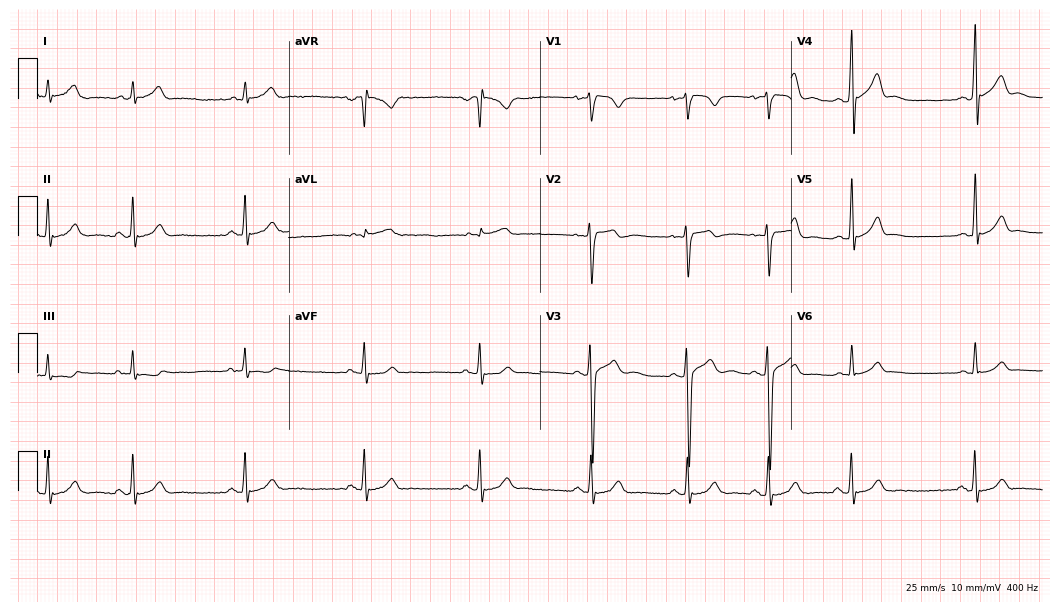
Standard 12-lead ECG recorded from a man, 17 years old. Read as a normal ECG.